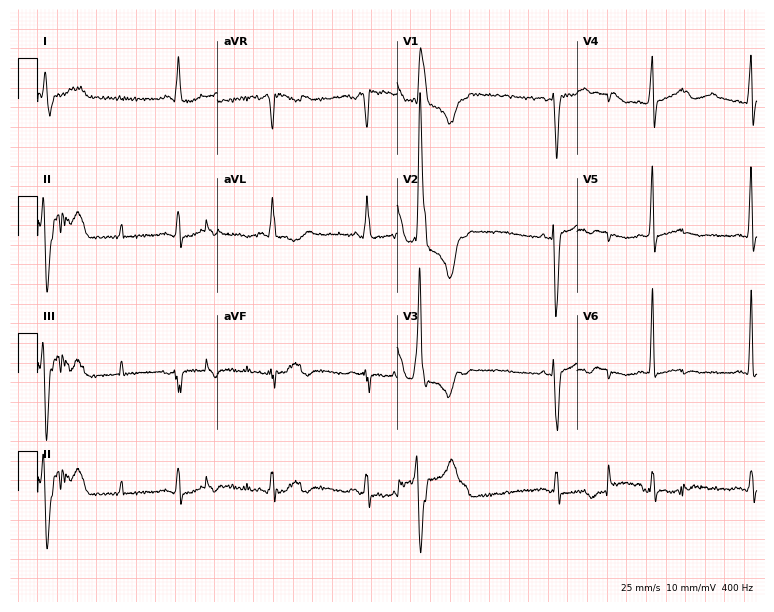
Electrocardiogram (7.3-second recording at 400 Hz), a 60-year-old female patient. Of the six screened findings (first-degree AV block, right bundle branch block (RBBB), left bundle branch block (LBBB), sinus bradycardia, atrial fibrillation (AF), sinus tachycardia), none is recorded. Only these six findings were labelled.